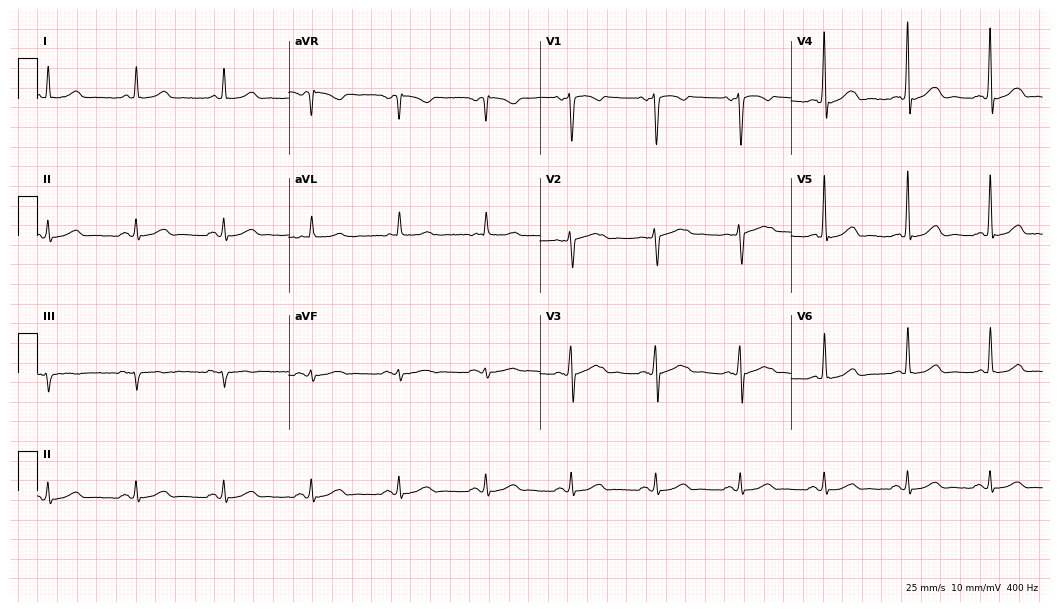
12-lead ECG from a male, 60 years old. Labelled as a normal ECG.